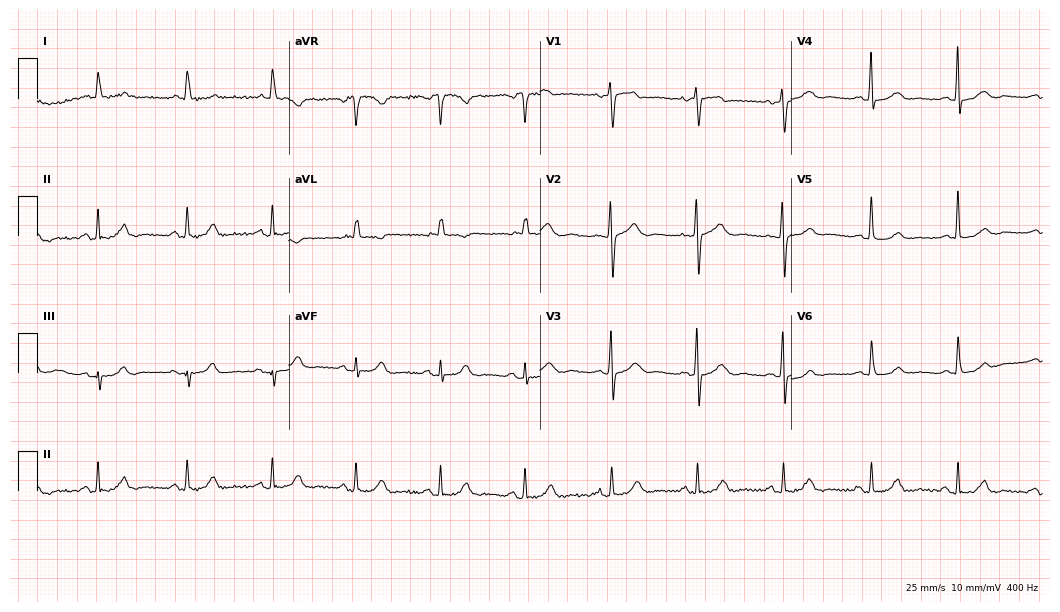
Standard 12-lead ECG recorded from a 73-year-old female patient (10.2-second recording at 400 Hz). Read as a normal ECG.